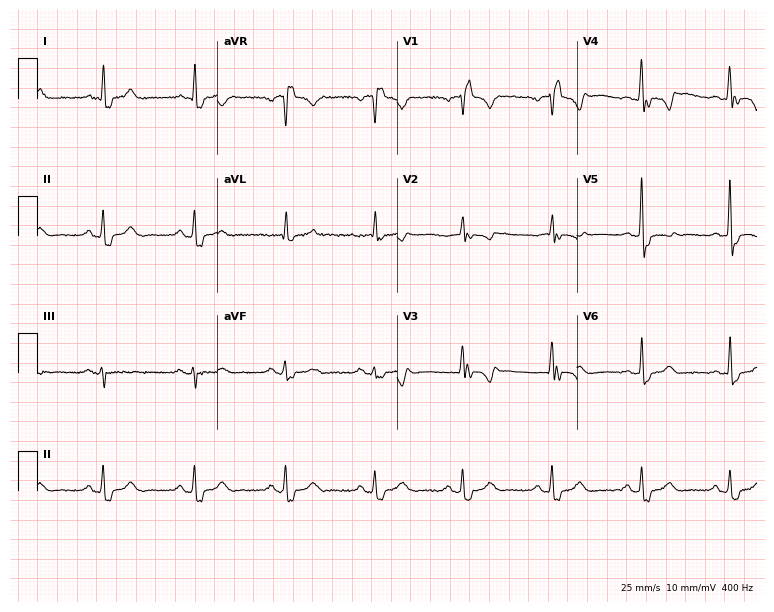
Resting 12-lead electrocardiogram. Patient: a 78-year-old man. The tracing shows right bundle branch block.